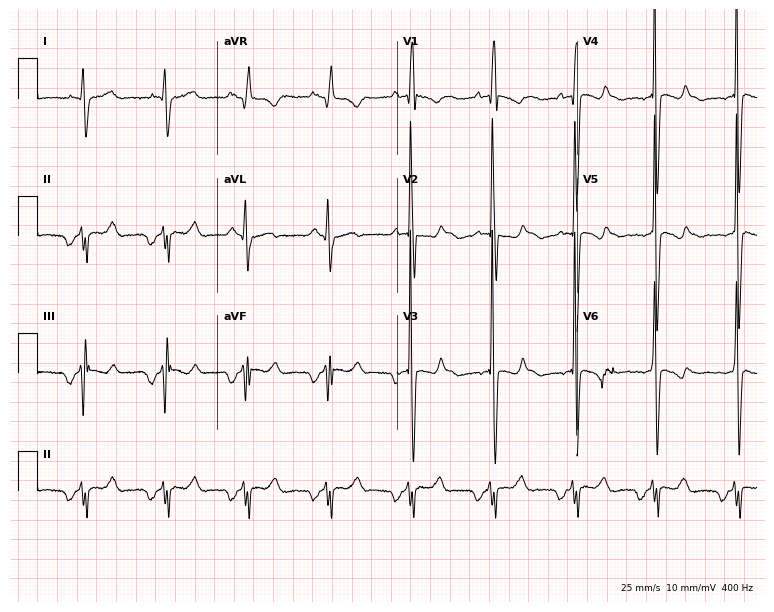
Electrocardiogram (7.3-second recording at 400 Hz), a 32-year-old female. Interpretation includes right bundle branch block (RBBB).